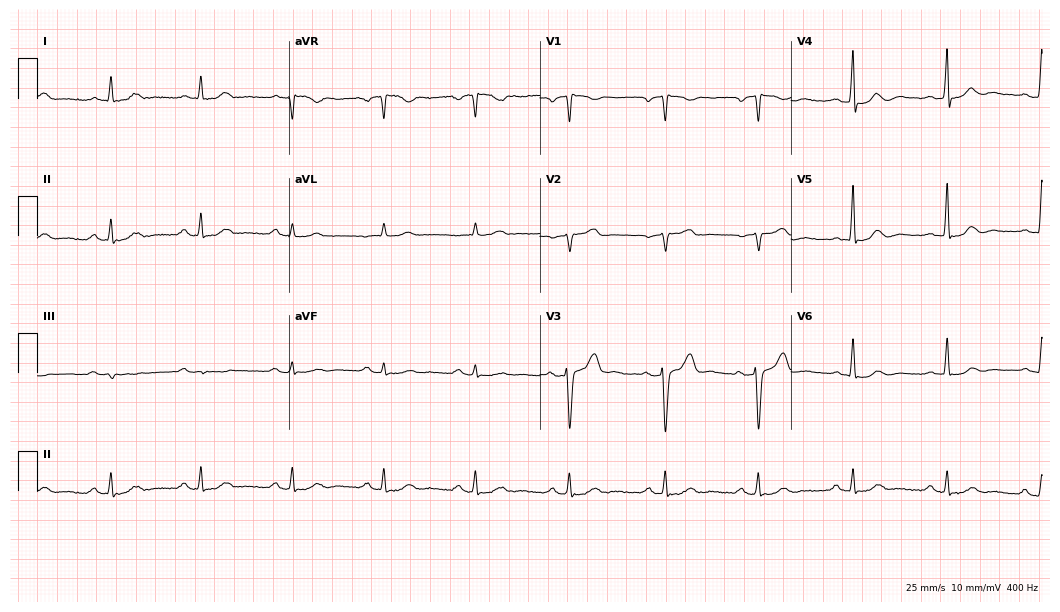
ECG (10.2-second recording at 400 Hz) — a male, 67 years old. Labelled as a normal ECG.